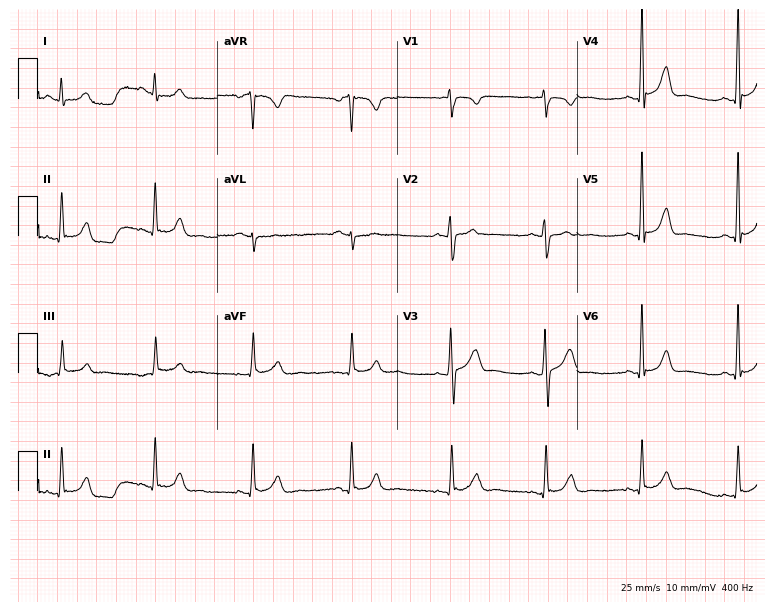
12-lead ECG (7.3-second recording at 400 Hz) from a male patient, 36 years old. Screened for six findings — first-degree AV block, right bundle branch block, left bundle branch block, sinus bradycardia, atrial fibrillation, sinus tachycardia — none is recorded. Findings outside these six are not listed.